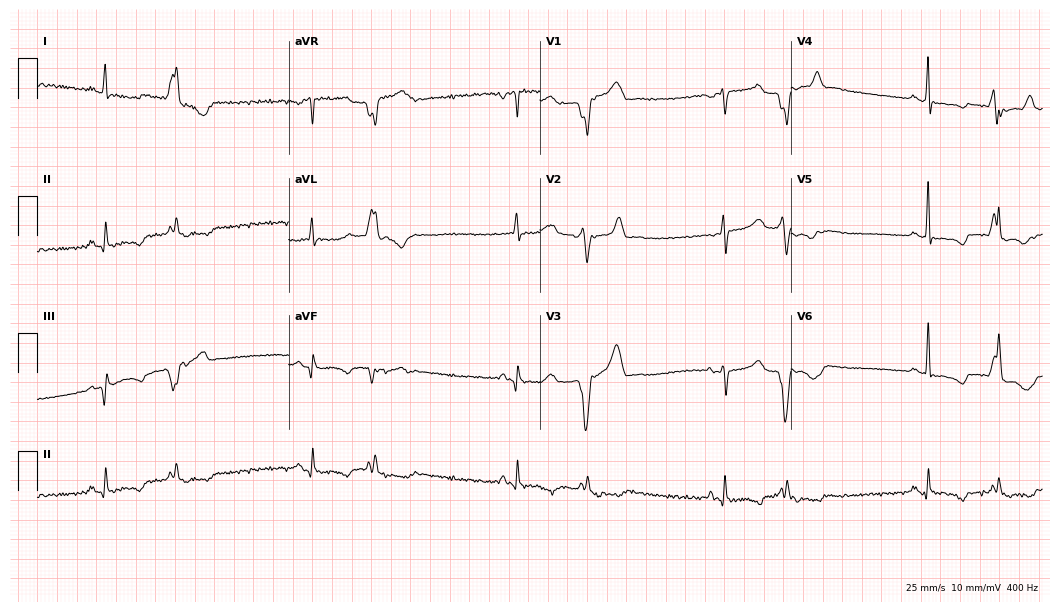
Standard 12-lead ECG recorded from a 63-year-old woman. None of these six findings is recorded: first-degree AV block, right bundle branch block, left bundle branch block, sinus bradycardia, atrial fibrillation, sinus tachycardia. Findings outside these six are not listed.